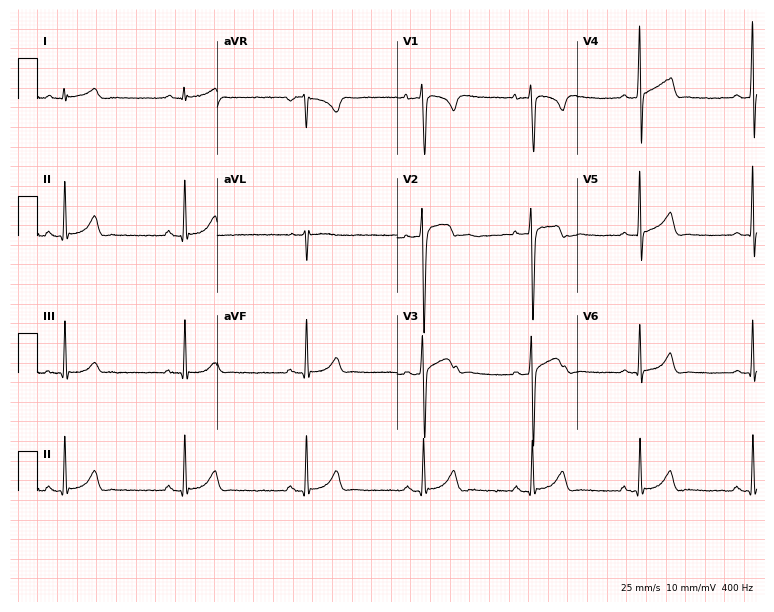
12-lead ECG (7.3-second recording at 400 Hz) from a 32-year-old man. Screened for six findings — first-degree AV block, right bundle branch block, left bundle branch block, sinus bradycardia, atrial fibrillation, sinus tachycardia — none is recorded. Other findings, if any, are not listed.